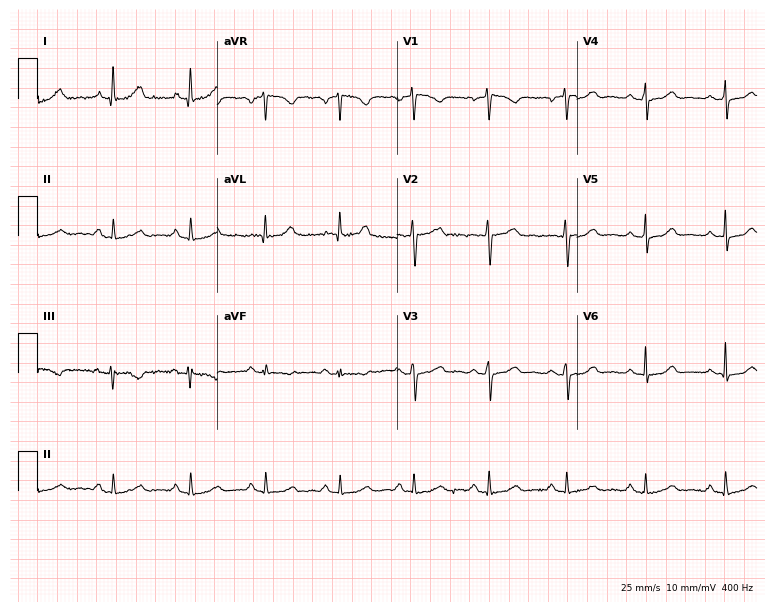
Resting 12-lead electrocardiogram. Patient: a female, 49 years old. Read as a normal ECG.